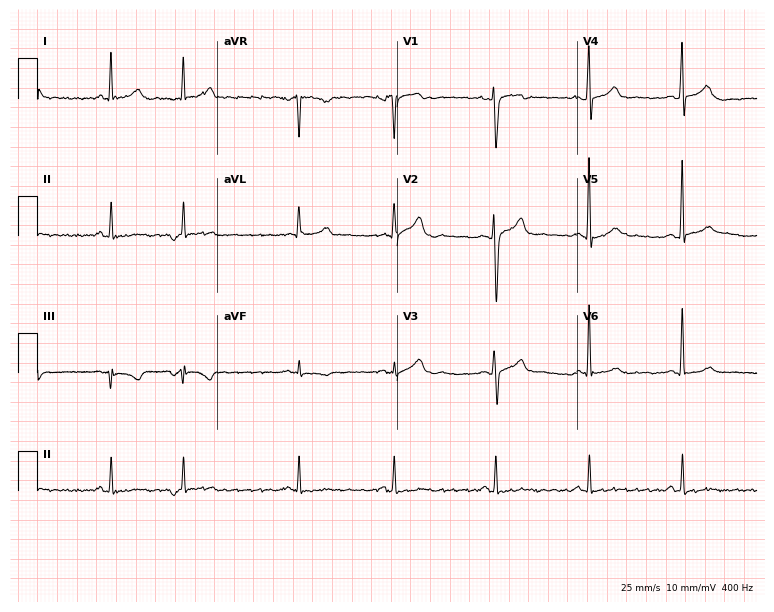
12-lead ECG from a 36-year-old male patient (7.3-second recording at 400 Hz). No first-degree AV block, right bundle branch block, left bundle branch block, sinus bradycardia, atrial fibrillation or sinus tachycardia recorded for this tracing.